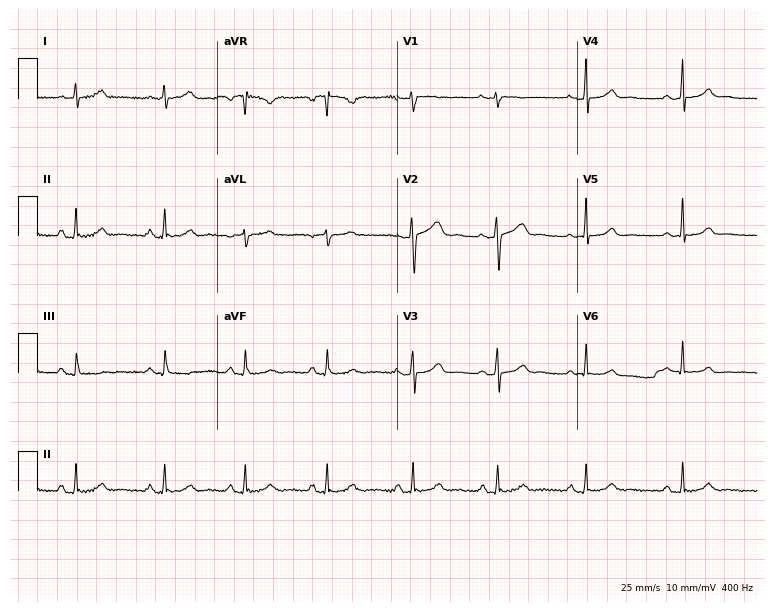
Electrocardiogram, a woman, 32 years old. Of the six screened findings (first-degree AV block, right bundle branch block (RBBB), left bundle branch block (LBBB), sinus bradycardia, atrial fibrillation (AF), sinus tachycardia), none is recorded.